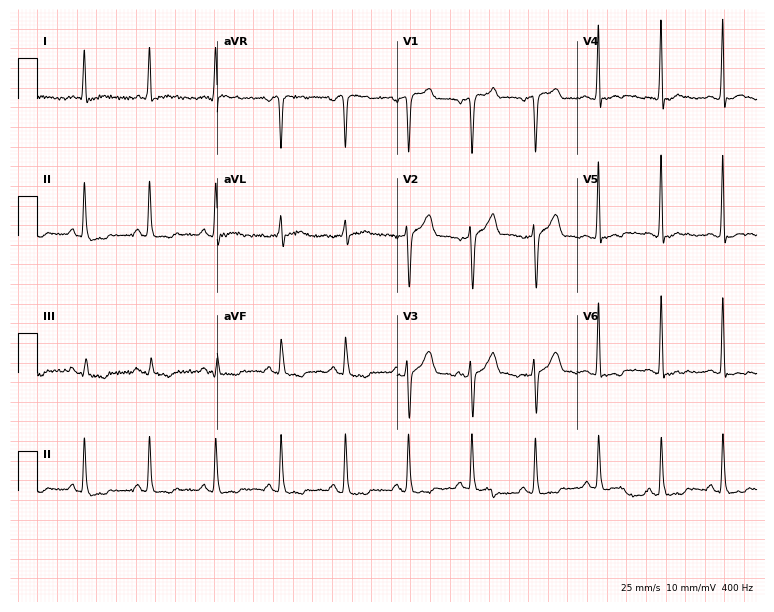
12-lead ECG (7.3-second recording at 400 Hz) from a man, 40 years old. Screened for six findings — first-degree AV block, right bundle branch block, left bundle branch block, sinus bradycardia, atrial fibrillation, sinus tachycardia — none is recorded. Findings outside these six are not listed.